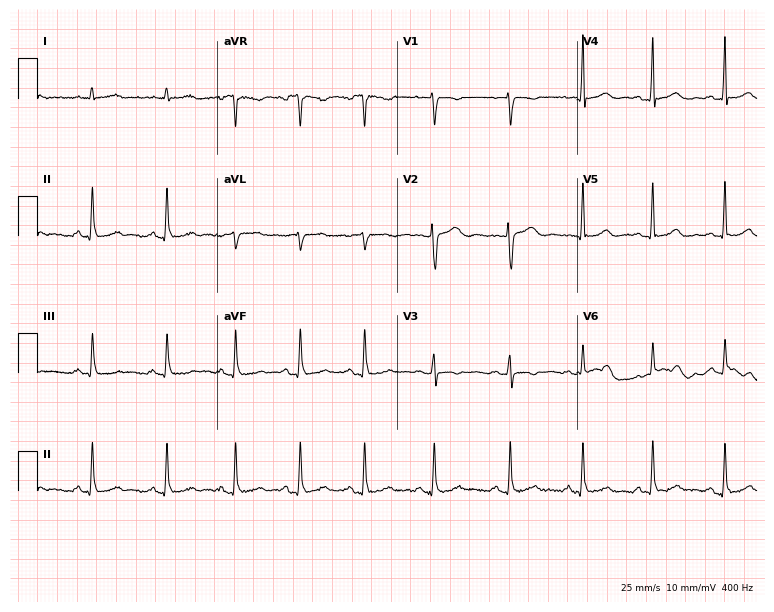
Standard 12-lead ECG recorded from a 35-year-old woman (7.3-second recording at 400 Hz). Read as a normal ECG.